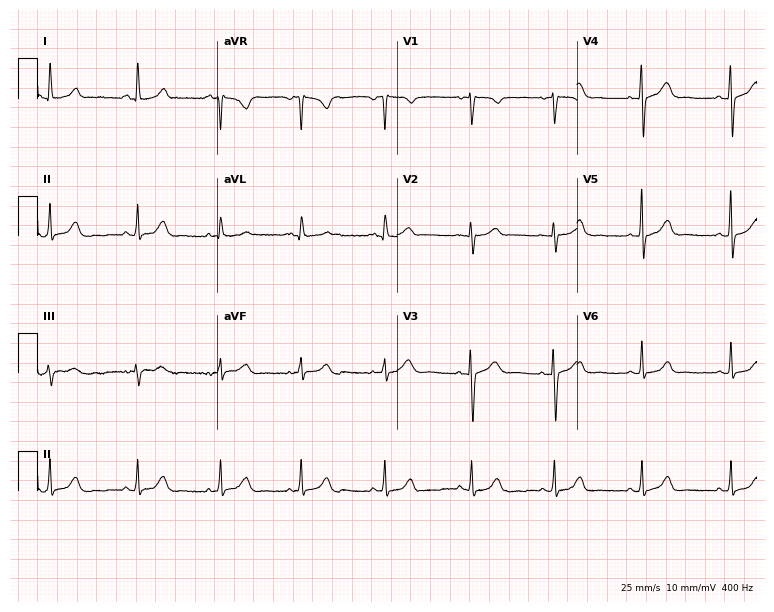
ECG — a woman, 44 years old. Labelled as a normal ECG.